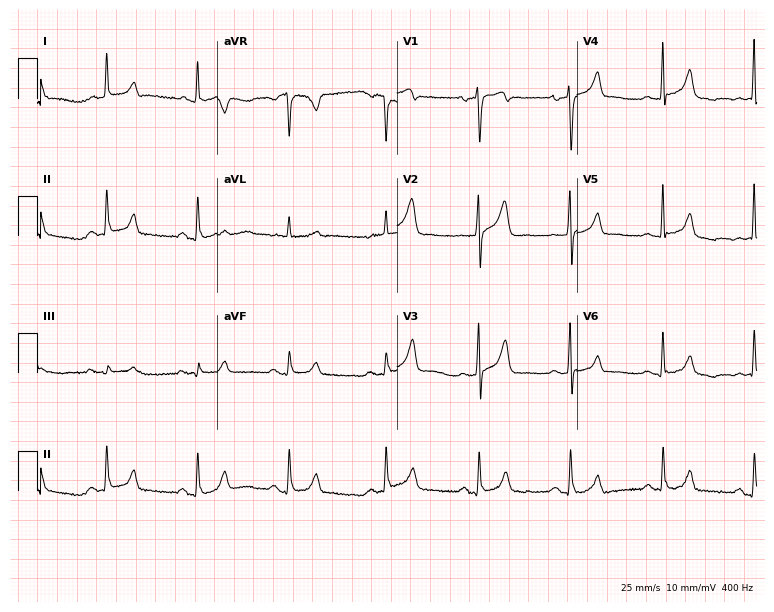
12-lead ECG (7.3-second recording at 400 Hz) from a 75-year-old female patient. Labelled as a normal ECG.